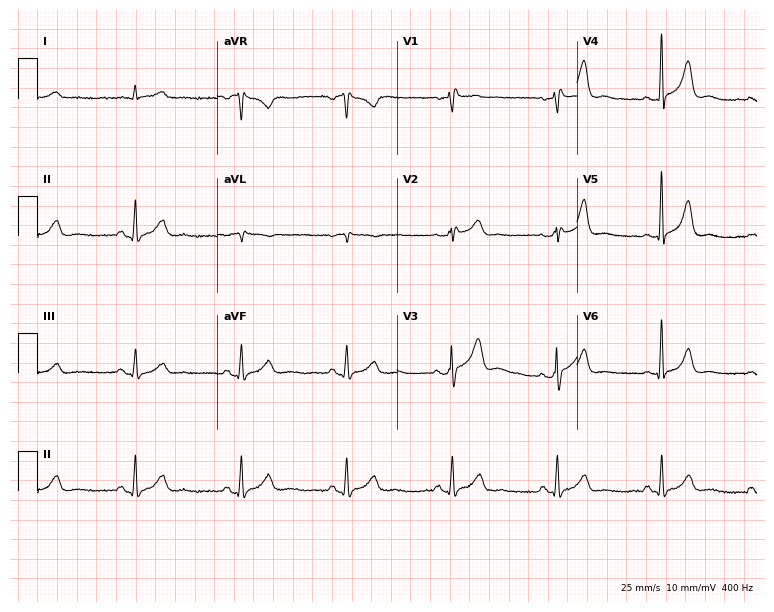
Standard 12-lead ECG recorded from a 60-year-old man (7.3-second recording at 400 Hz). None of these six findings is recorded: first-degree AV block, right bundle branch block, left bundle branch block, sinus bradycardia, atrial fibrillation, sinus tachycardia.